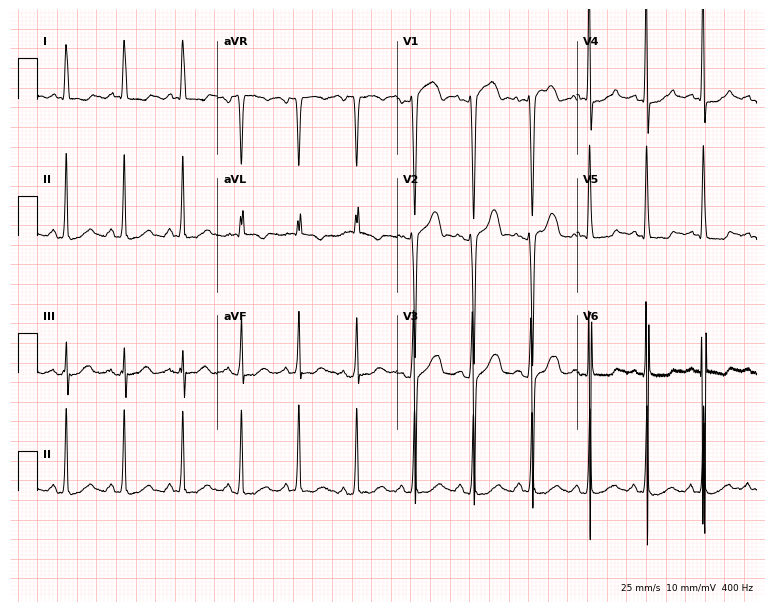
12-lead ECG (7.3-second recording at 400 Hz) from a 36-year-old female patient. Findings include sinus tachycardia (a sinus rate of 100 beats per minute or more).